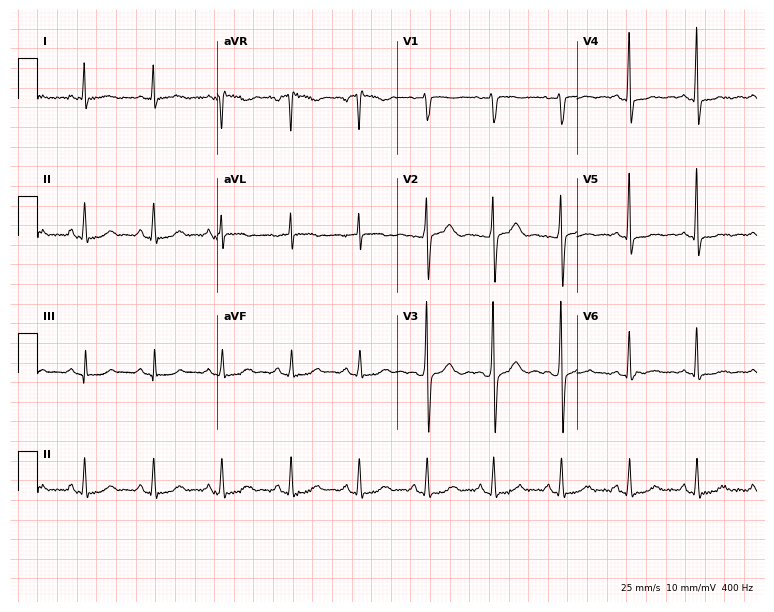
12-lead ECG from a female, 46 years old. Screened for six findings — first-degree AV block, right bundle branch block, left bundle branch block, sinus bradycardia, atrial fibrillation, sinus tachycardia — none is recorded. Findings outside these six are not listed.